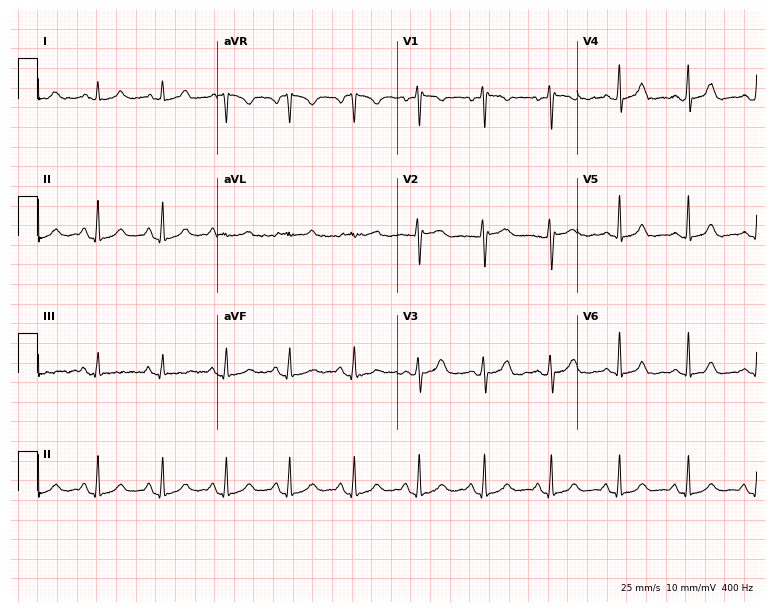
Standard 12-lead ECG recorded from a 51-year-old female patient. Read as a normal ECG.